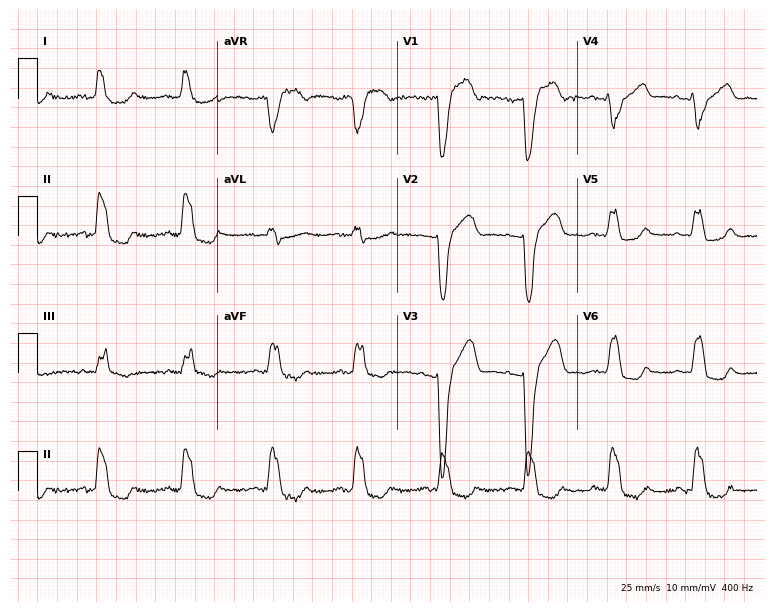
Electrocardiogram (7.3-second recording at 400 Hz), a female patient, 62 years old. Interpretation includes left bundle branch block (LBBB).